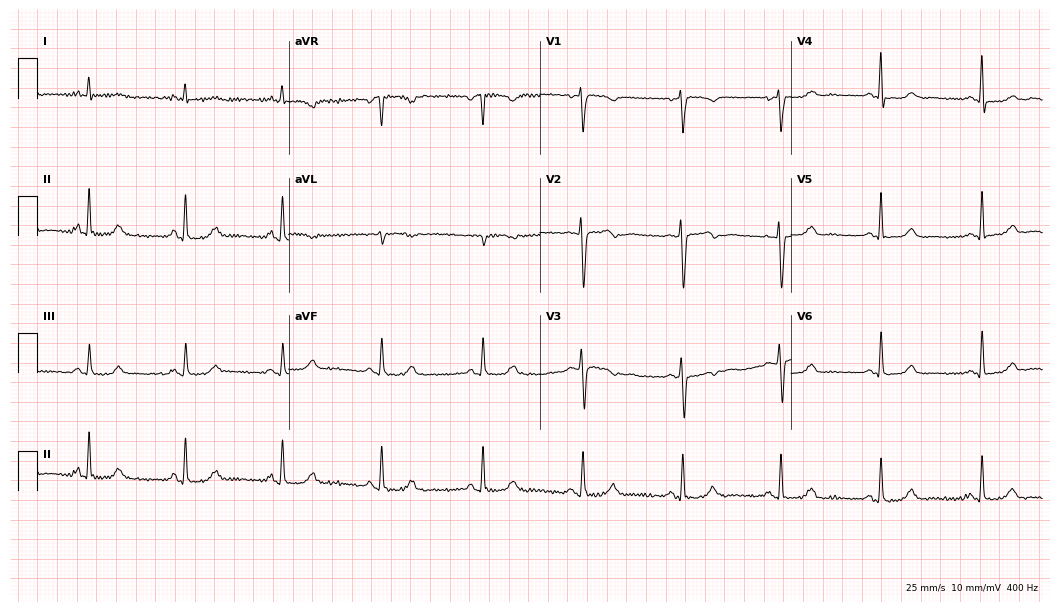
Electrocardiogram (10.2-second recording at 400 Hz), a 48-year-old female. Of the six screened findings (first-degree AV block, right bundle branch block, left bundle branch block, sinus bradycardia, atrial fibrillation, sinus tachycardia), none is recorded.